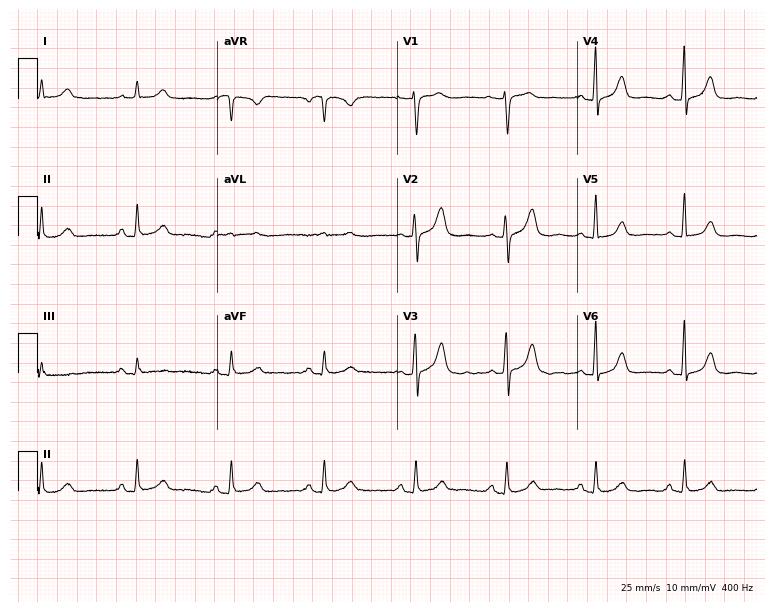
12-lead ECG from a 63-year-old female patient (7.3-second recording at 400 Hz). No first-degree AV block, right bundle branch block (RBBB), left bundle branch block (LBBB), sinus bradycardia, atrial fibrillation (AF) or sinus tachycardia recorded for this tracing. Findings outside these six are not listed.